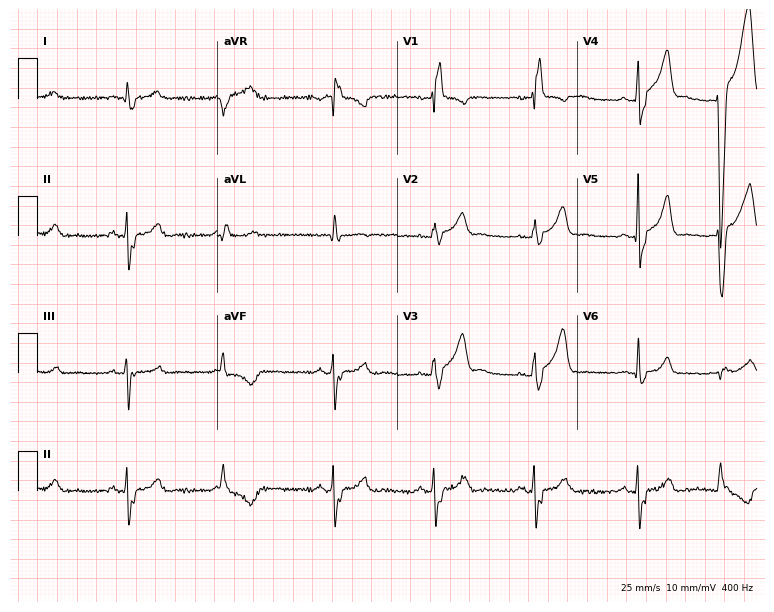
Electrocardiogram (7.3-second recording at 400 Hz), a 78-year-old man. Interpretation includes right bundle branch block.